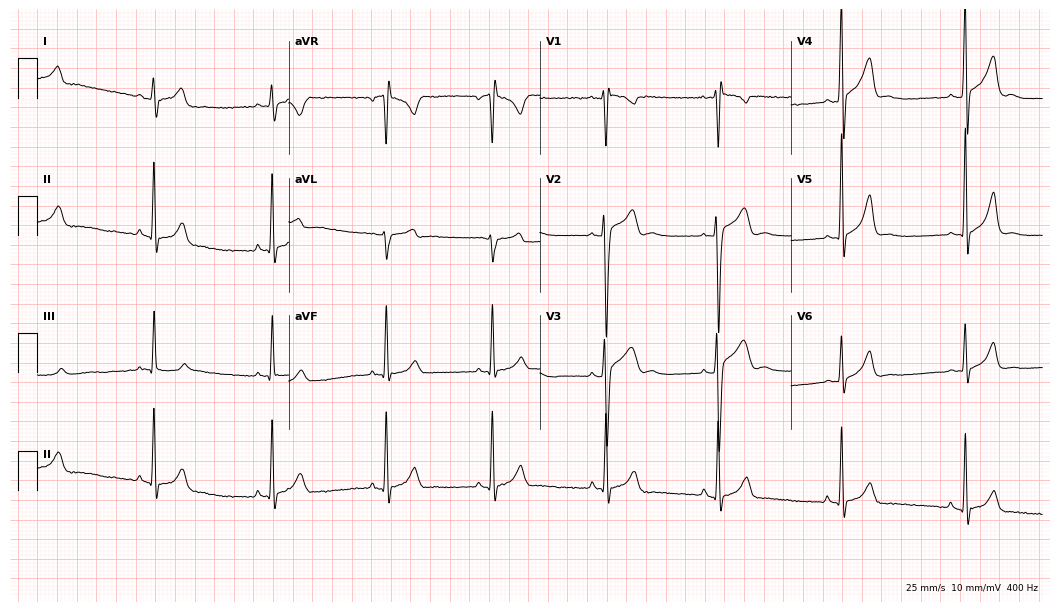
Electrocardiogram, a 17-year-old man. Of the six screened findings (first-degree AV block, right bundle branch block, left bundle branch block, sinus bradycardia, atrial fibrillation, sinus tachycardia), none is recorded. Only these six findings were labelled.